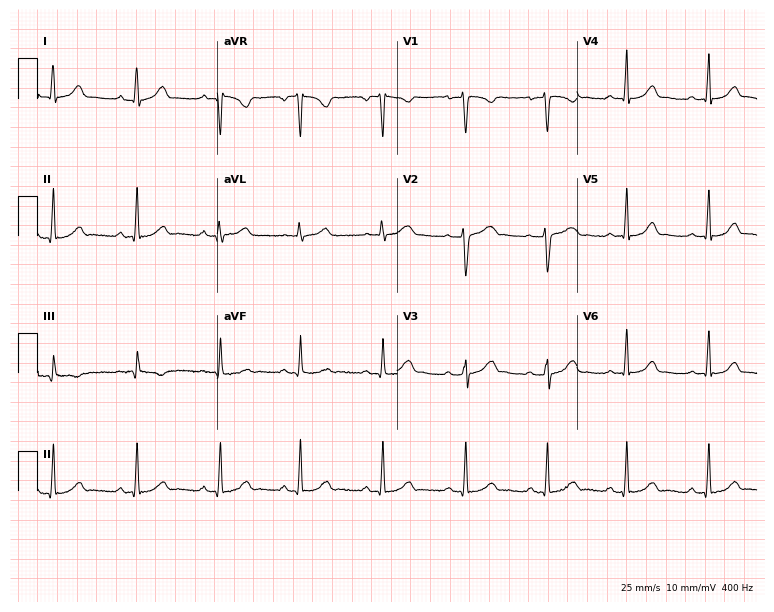
Standard 12-lead ECG recorded from a female patient, 32 years old. Read as a normal ECG.